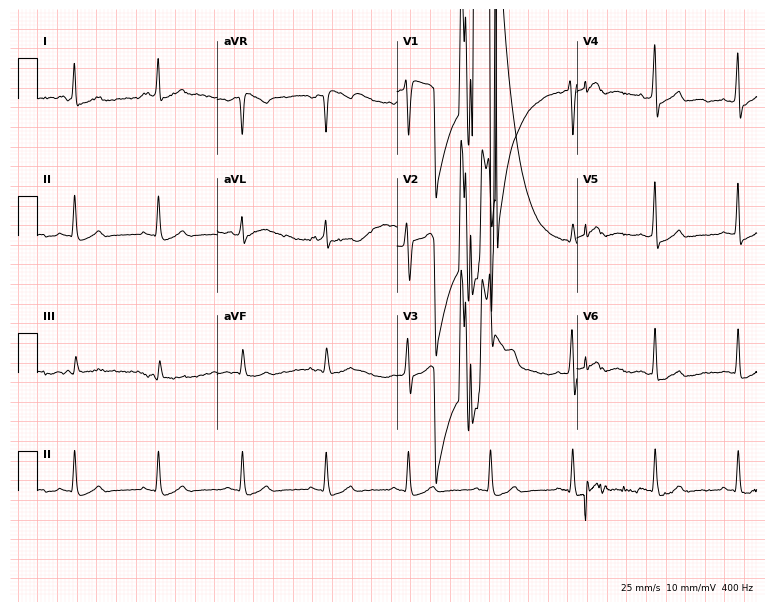
Standard 12-lead ECG recorded from a male, 51 years old (7.3-second recording at 400 Hz). None of these six findings is recorded: first-degree AV block, right bundle branch block, left bundle branch block, sinus bradycardia, atrial fibrillation, sinus tachycardia.